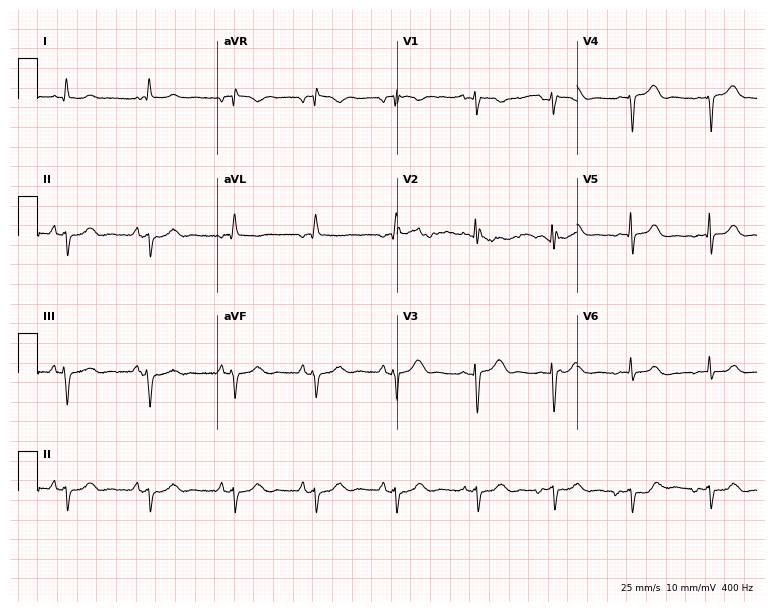
Resting 12-lead electrocardiogram. Patient: a 49-year-old woman. None of these six findings is recorded: first-degree AV block, right bundle branch block, left bundle branch block, sinus bradycardia, atrial fibrillation, sinus tachycardia.